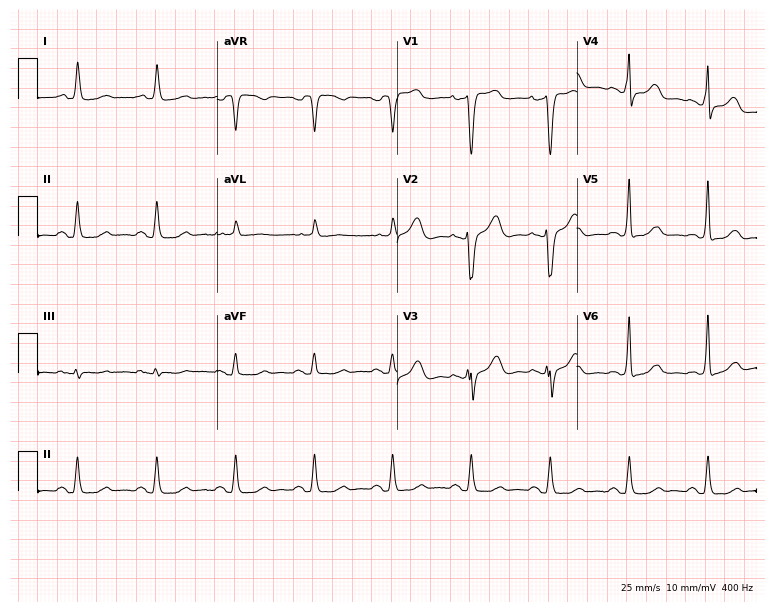
12-lead ECG from an 80-year-old male patient. Shows left bundle branch block (LBBB).